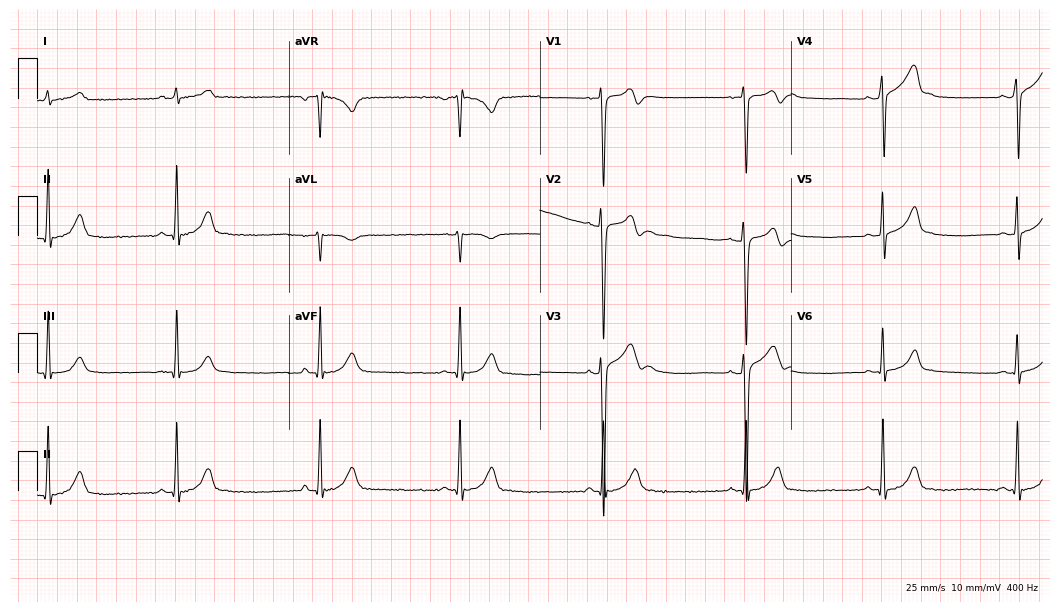
ECG (10.2-second recording at 400 Hz) — a male patient, 22 years old. Findings include sinus bradycardia (a sinus rate of 50 beats per minute or less).